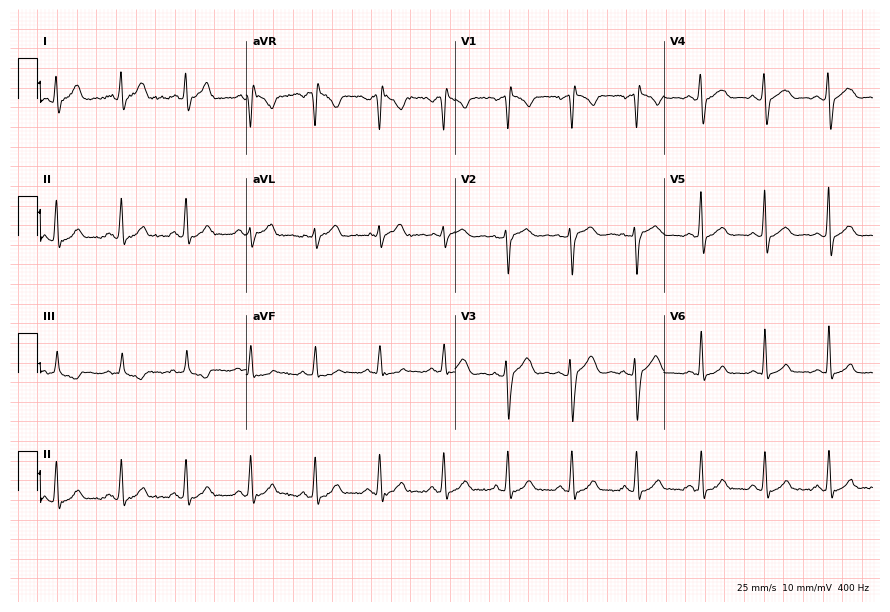
Standard 12-lead ECG recorded from a 20-year-old male (8.5-second recording at 400 Hz). None of these six findings is recorded: first-degree AV block, right bundle branch block, left bundle branch block, sinus bradycardia, atrial fibrillation, sinus tachycardia.